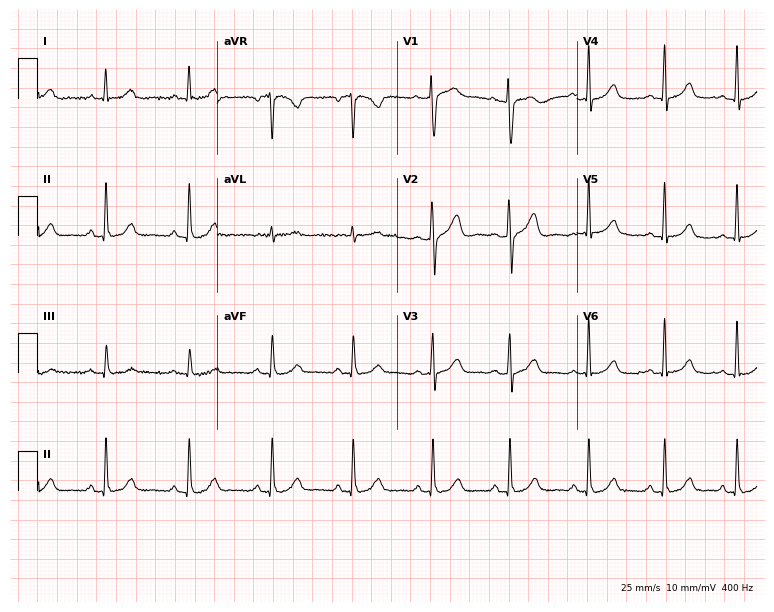
Resting 12-lead electrocardiogram (7.3-second recording at 400 Hz). Patient: a female, 45 years old. None of these six findings is recorded: first-degree AV block, right bundle branch block, left bundle branch block, sinus bradycardia, atrial fibrillation, sinus tachycardia.